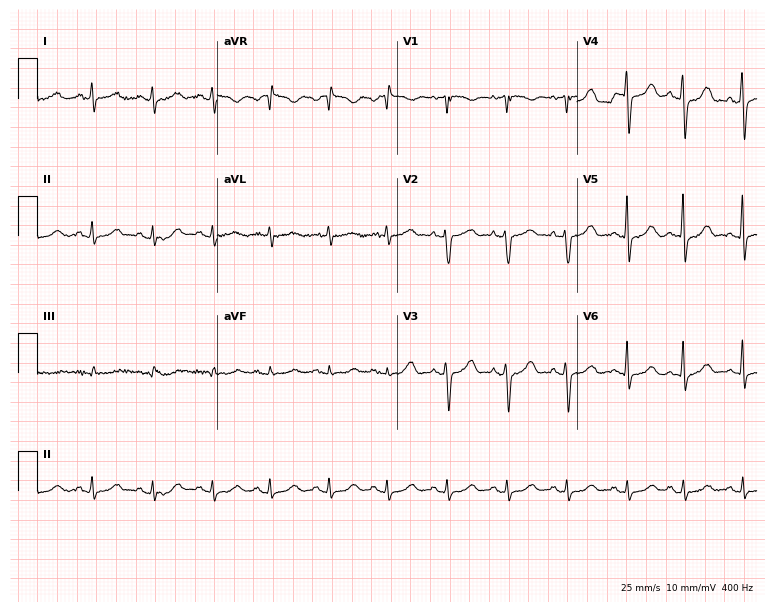
Standard 12-lead ECG recorded from a 69-year-old female patient. None of these six findings is recorded: first-degree AV block, right bundle branch block, left bundle branch block, sinus bradycardia, atrial fibrillation, sinus tachycardia.